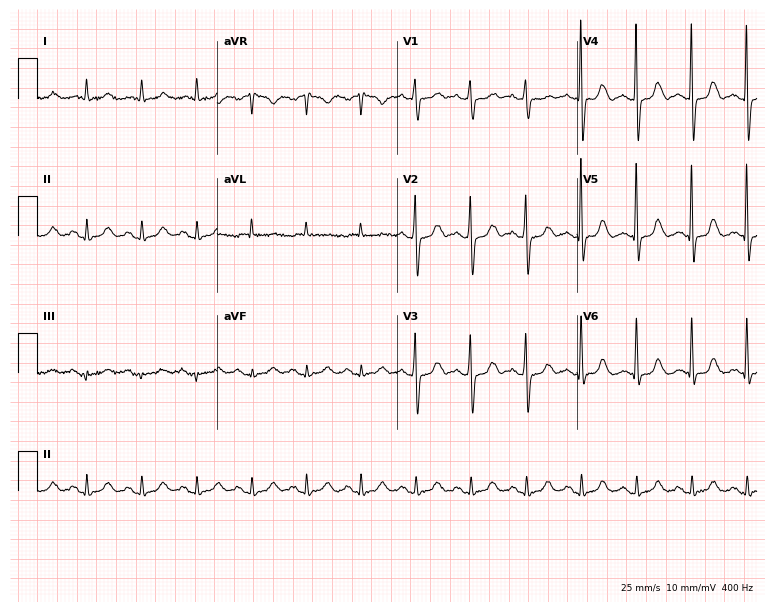
Electrocardiogram (7.3-second recording at 400 Hz), a female patient, 80 years old. Interpretation includes sinus tachycardia (a sinus rate of 100 beats per minute or more).